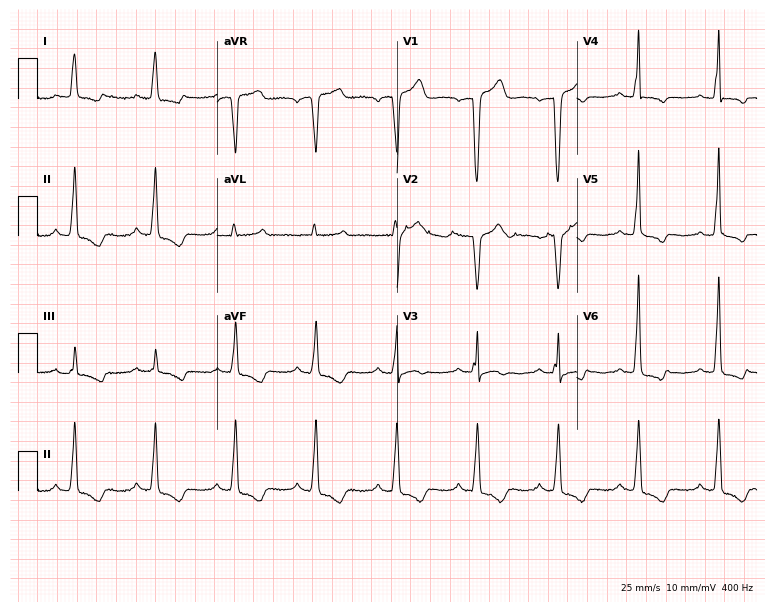
Resting 12-lead electrocardiogram. Patient: a 72-year-old male. None of these six findings is recorded: first-degree AV block, right bundle branch block, left bundle branch block, sinus bradycardia, atrial fibrillation, sinus tachycardia. Only these six findings were labelled.